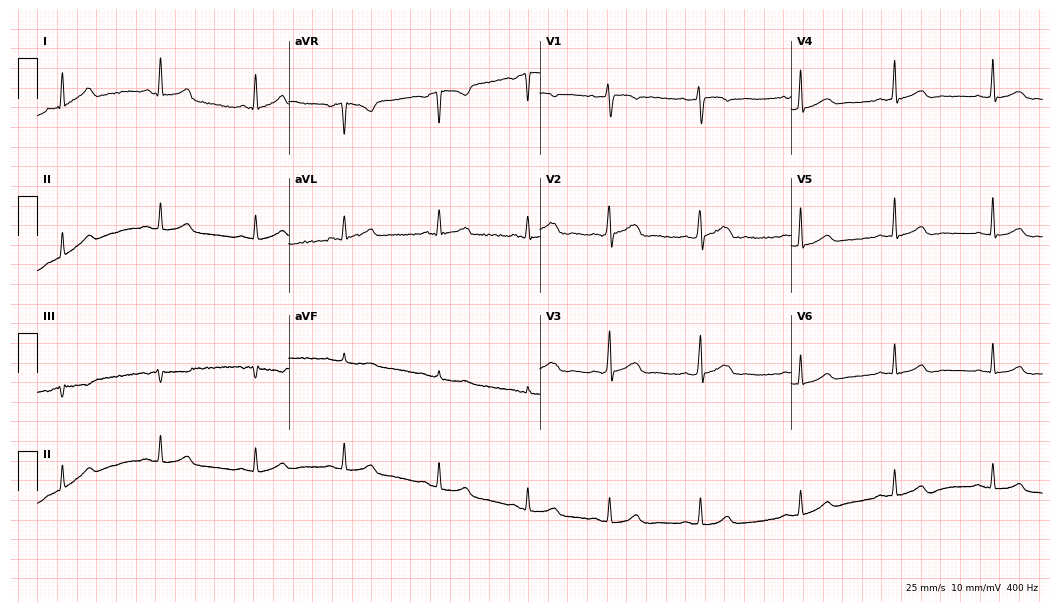
Electrocardiogram, a female, 36 years old. Overall reading on record: normal ECG.